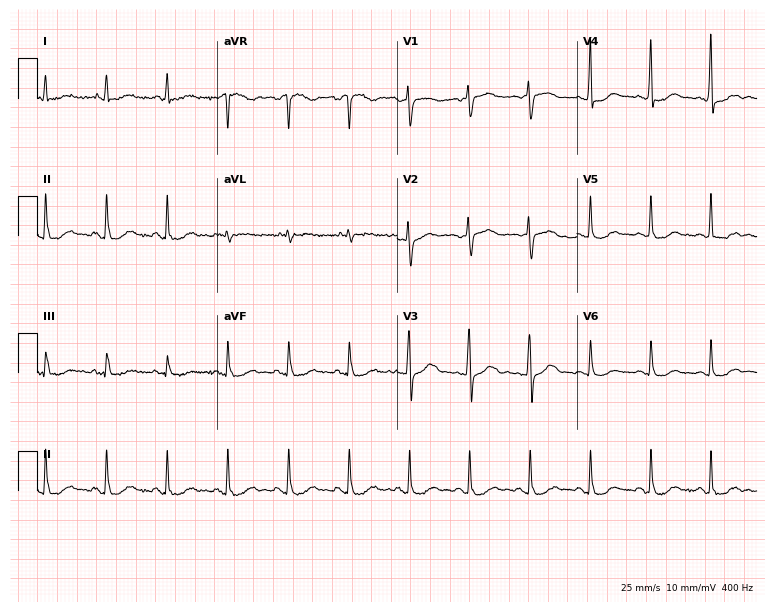
ECG (7.3-second recording at 400 Hz) — a female patient, 60 years old. Screened for six findings — first-degree AV block, right bundle branch block (RBBB), left bundle branch block (LBBB), sinus bradycardia, atrial fibrillation (AF), sinus tachycardia — none is recorded. Other findings, if any, are not listed.